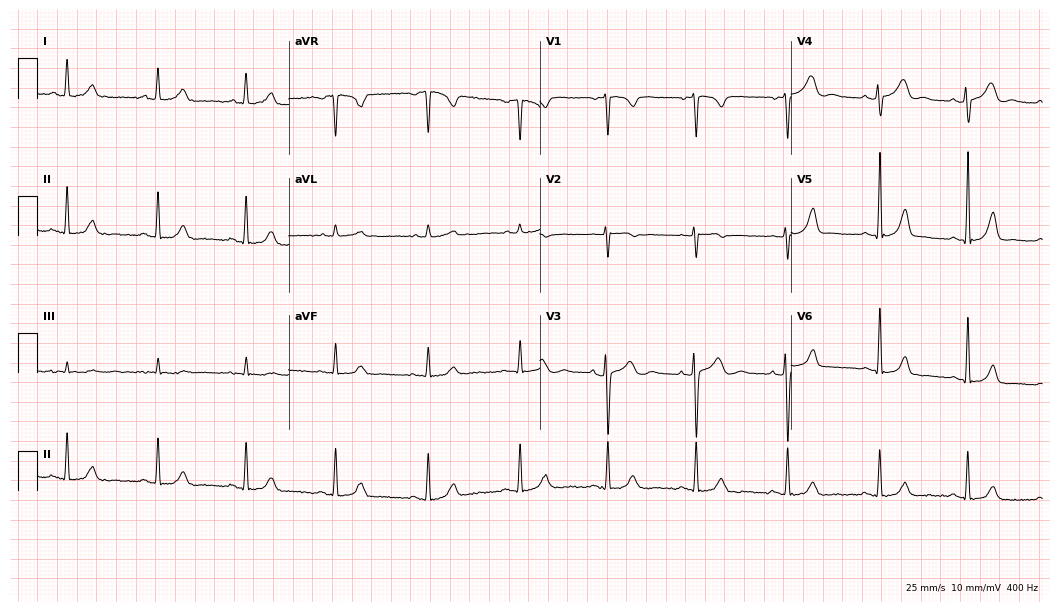
ECG — a woman, 33 years old. Screened for six findings — first-degree AV block, right bundle branch block, left bundle branch block, sinus bradycardia, atrial fibrillation, sinus tachycardia — none is recorded. Findings outside these six are not listed.